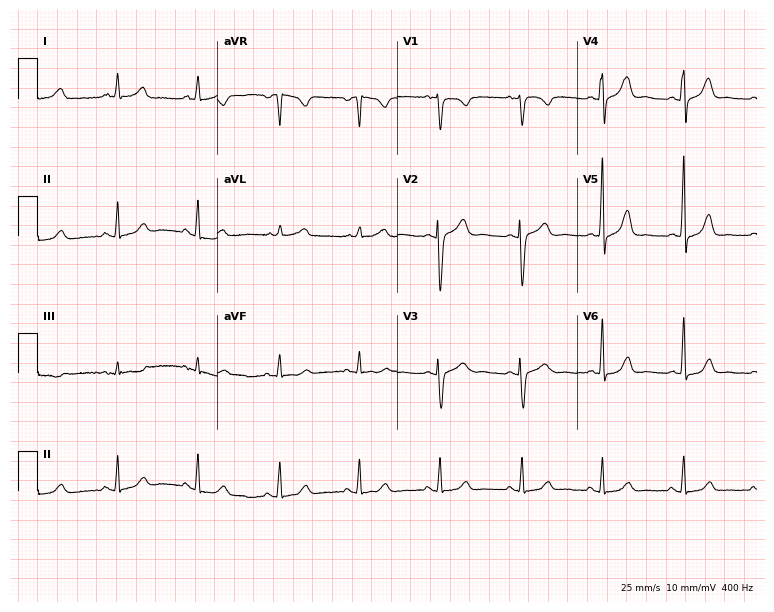
Electrocardiogram, a 61-year-old female. Overall reading on record: normal ECG.